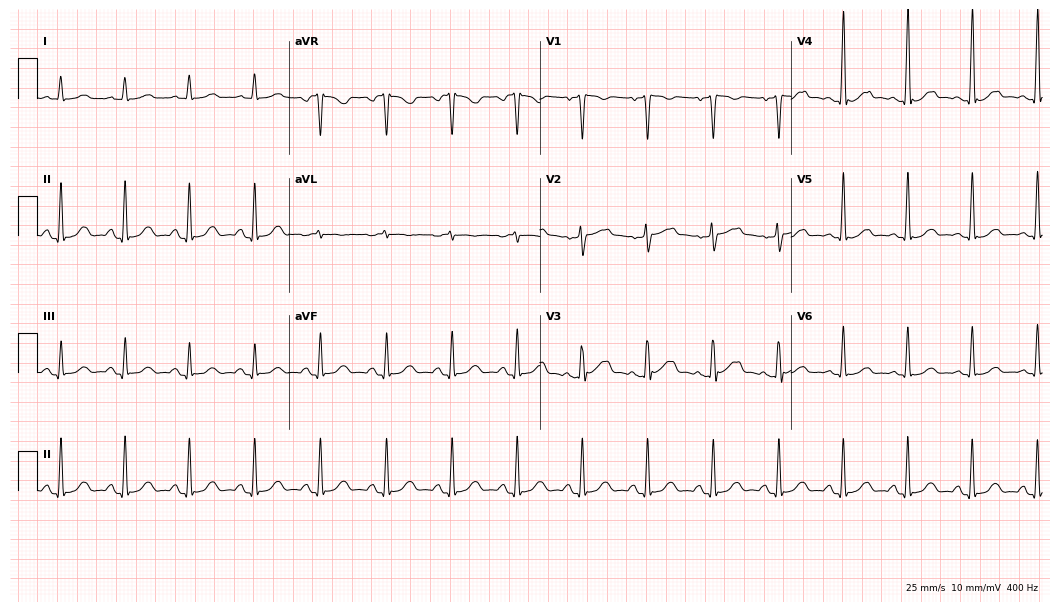
12-lead ECG (10.2-second recording at 400 Hz) from a male patient, 53 years old. Labelled as a normal ECG.